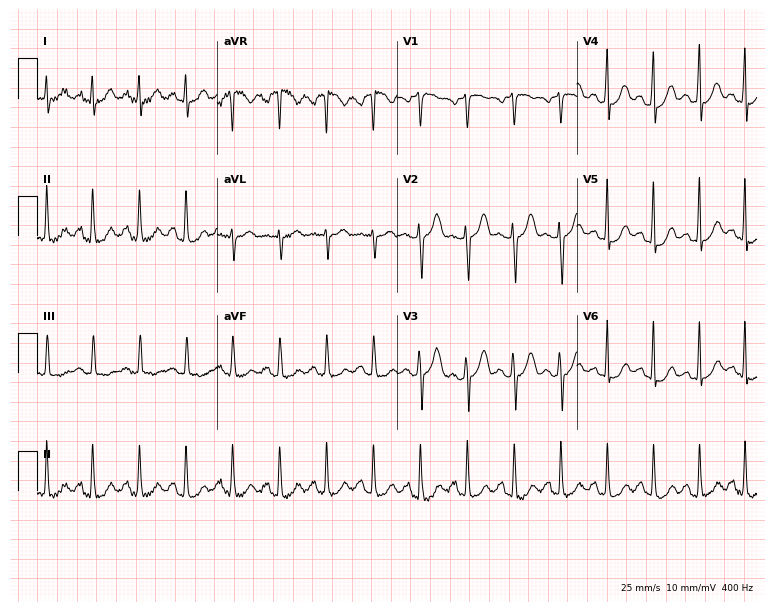
12-lead ECG from a 25-year-old female patient. Shows sinus tachycardia (a sinus rate of 100 beats per minute or more).